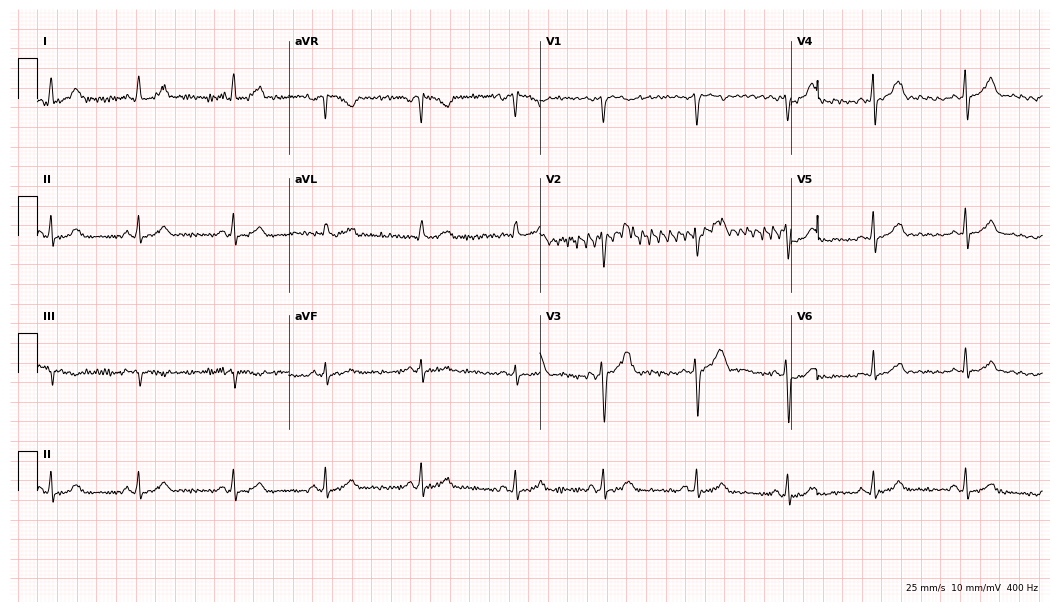
Resting 12-lead electrocardiogram. Patient: a 36-year-old female. None of these six findings is recorded: first-degree AV block, right bundle branch block, left bundle branch block, sinus bradycardia, atrial fibrillation, sinus tachycardia.